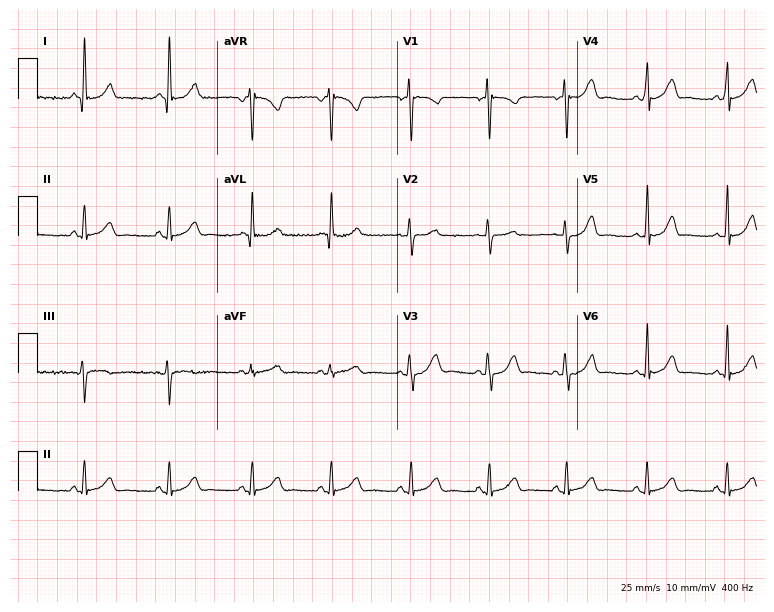
Electrocardiogram (7.3-second recording at 400 Hz), a female, 24 years old. Overall reading on record: normal ECG.